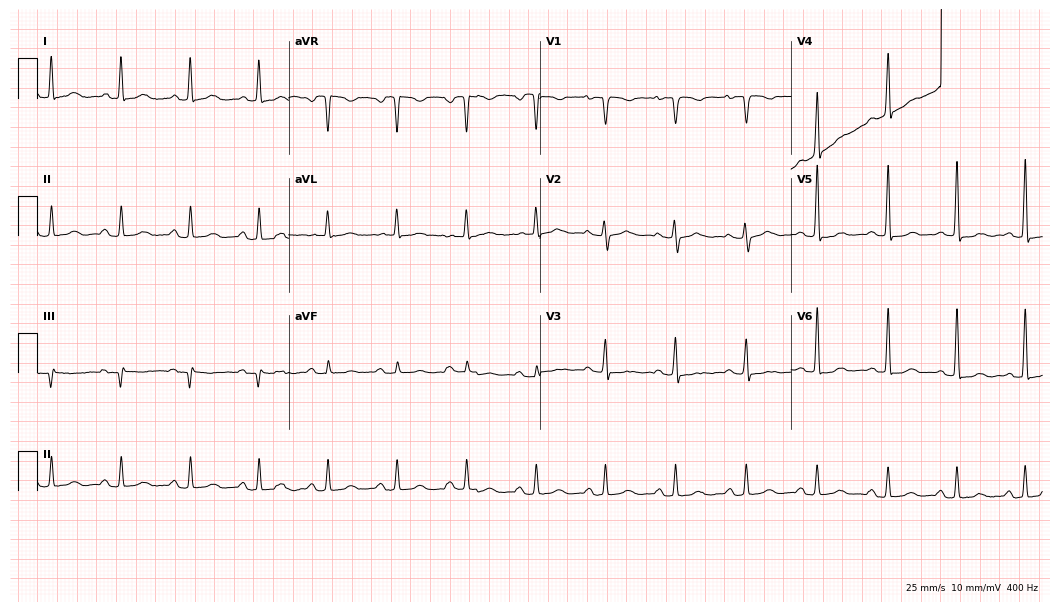
Standard 12-lead ECG recorded from a 60-year-old female patient (10.2-second recording at 400 Hz). None of these six findings is recorded: first-degree AV block, right bundle branch block, left bundle branch block, sinus bradycardia, atrial fibrillation, sinus tachycardia.